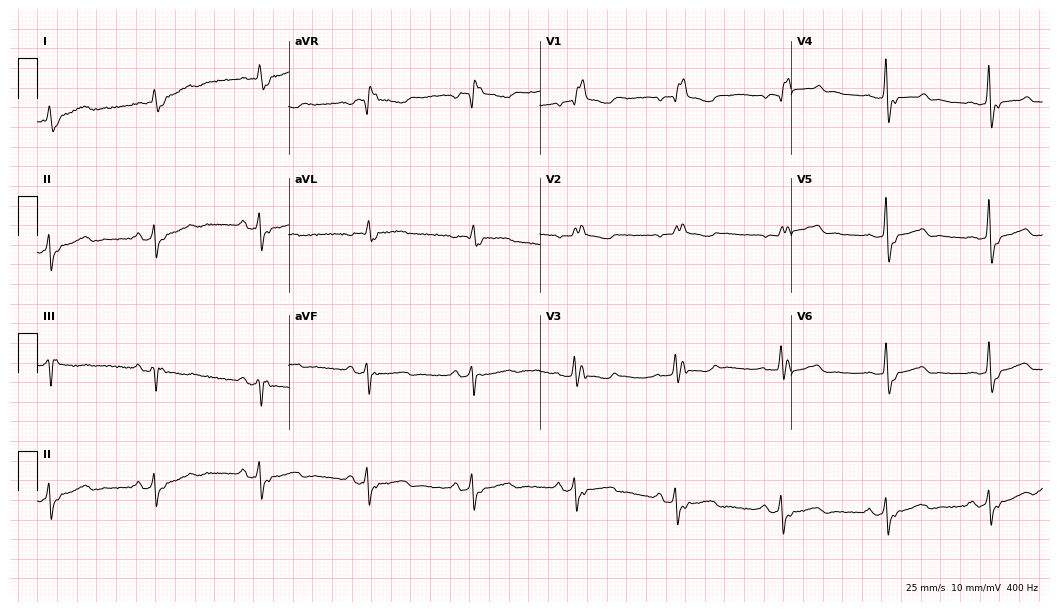
Electrocardiogram, a 60-year-old female patient. Of the six screened findings (first-degree AV block, right bundle branch block, left bundle branch block, sinus bradycardia, atrial fibrillation, sinus tachycardia), none is recorded. Only these six findings were labelled.